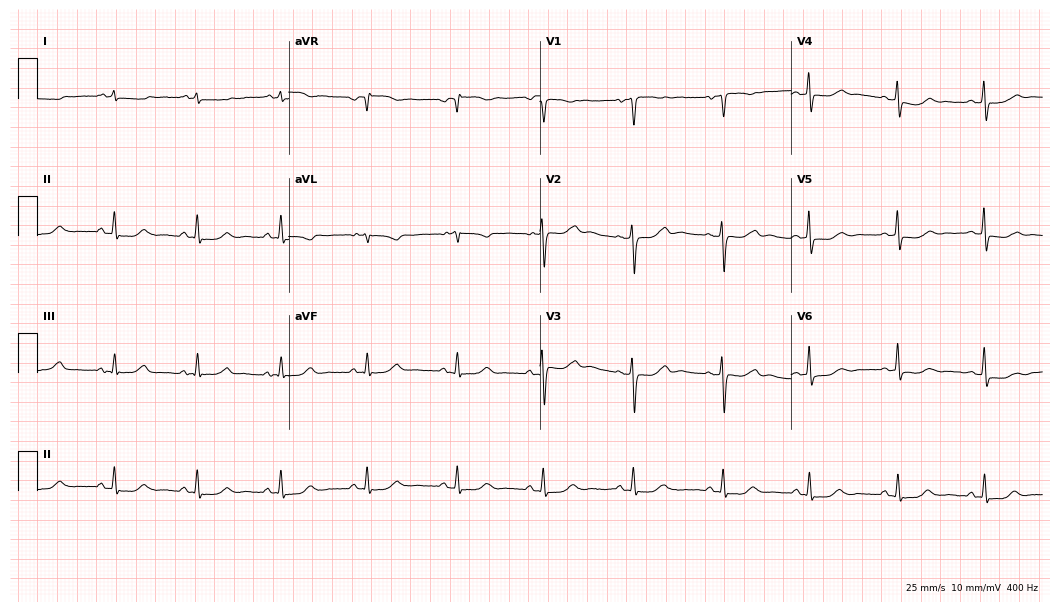
Standard 12-lead ECG recorded from a female patient, 43 years old (10.2-second recording at 400 Hz). Read as a normal ECG.